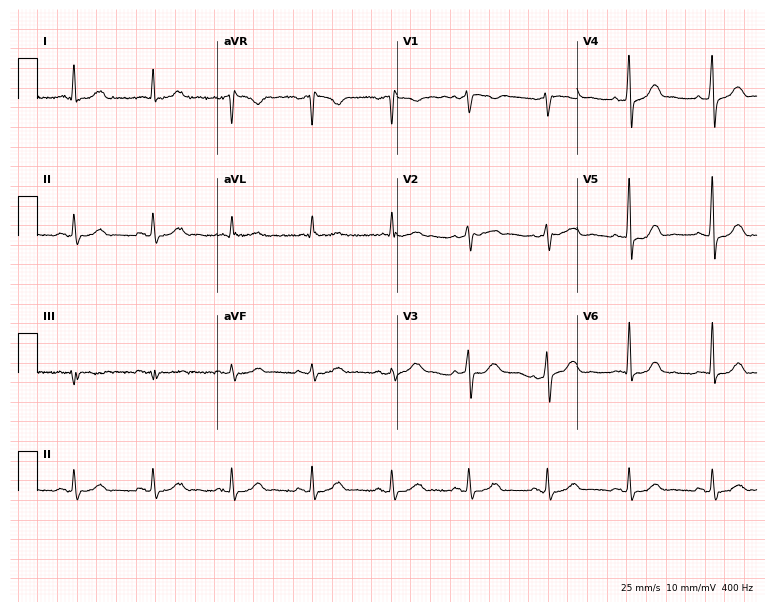
ECG (7.3-second recording at 400 Hz) — a female patient, 59 years old. Labelled as a normal ECG.